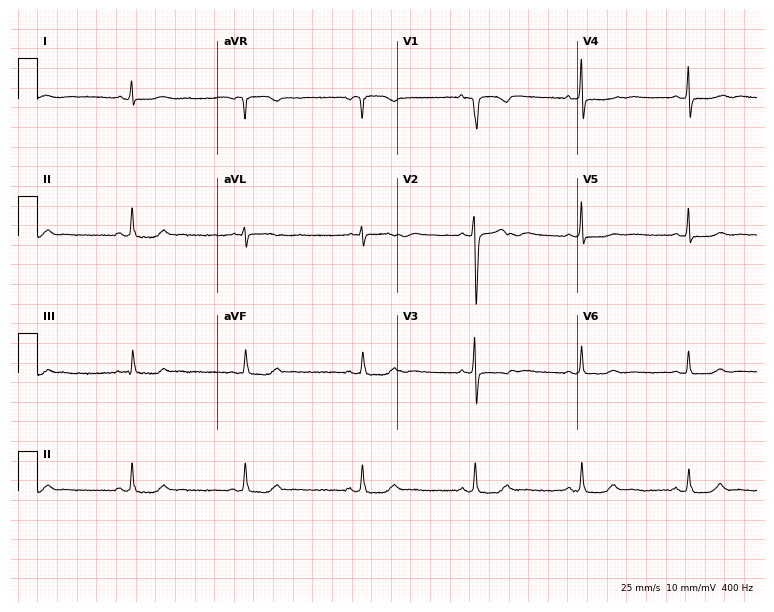
Standard 12-lead ECG recorded from a 49-year-old woman (7.3-second recording at 400 Hz). None of these six findings is recorded: first-degree AV block, right bundle branch block, left bundle branch block, sinus bradycardia, atrial fibrillation, sinus tachycardia.